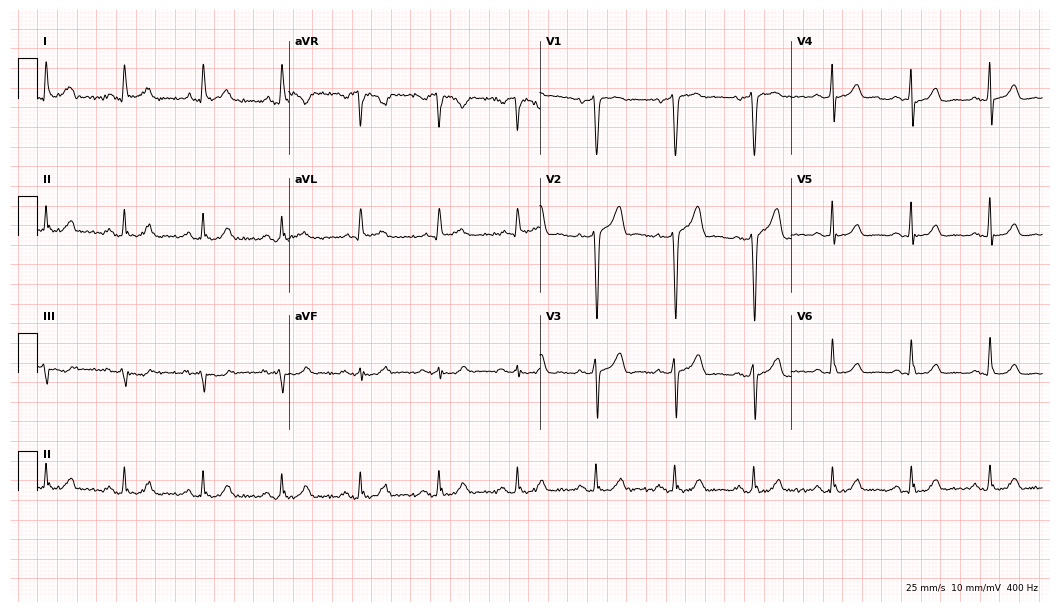
Standard 12-lead ECG recorded from a 52-year-old male patient (10.2-second recording at 400 Hz). Read as a normal ECG.